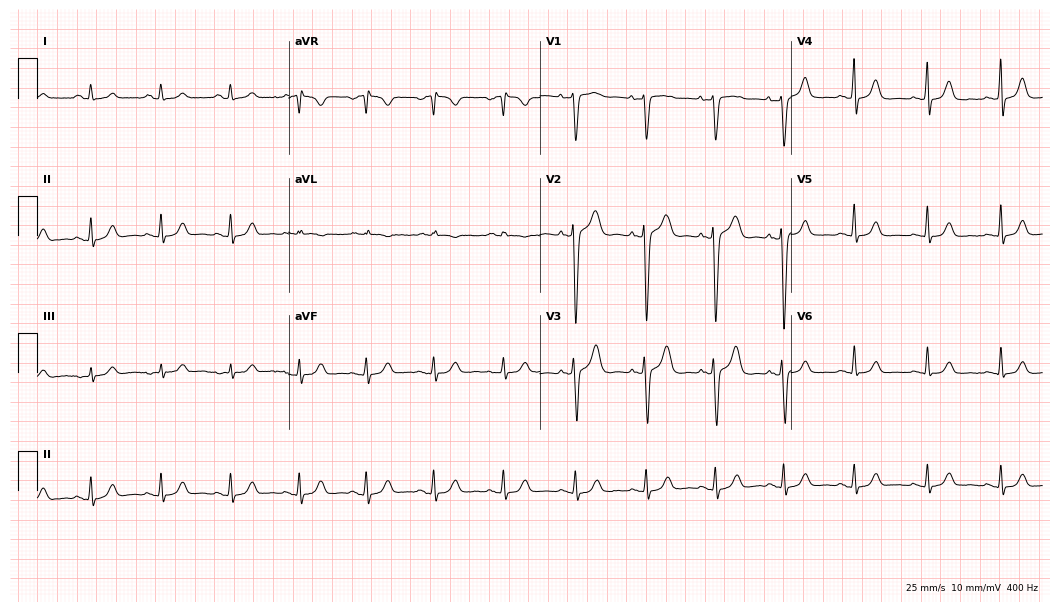
Resting 12-lead electrocardiogram. Patient: a 24-year-old woman. None of these six findings is recorded: first-degree AV block, right bundle branch block, left bundle branch block, sinus bradycardia, atrial fibrillation, sinus tachycardia.